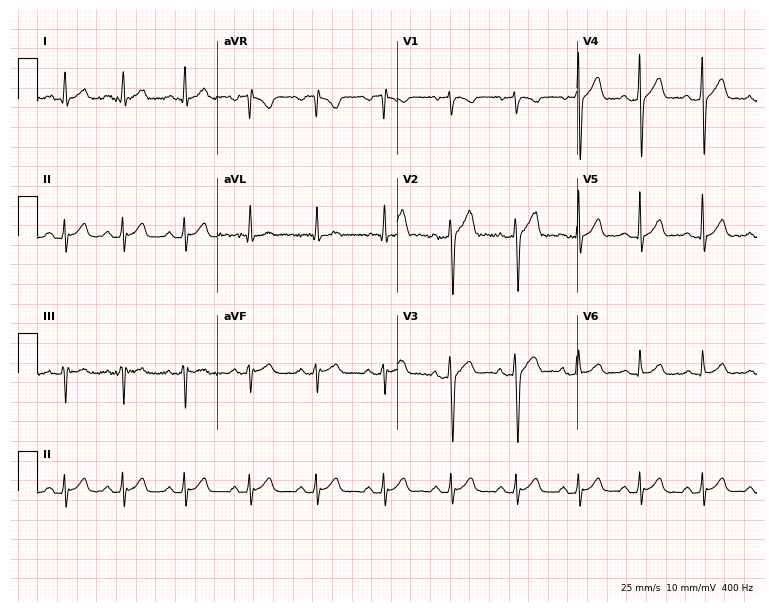
ECG — a 28-year-old male. Labelled as a normal ECG.